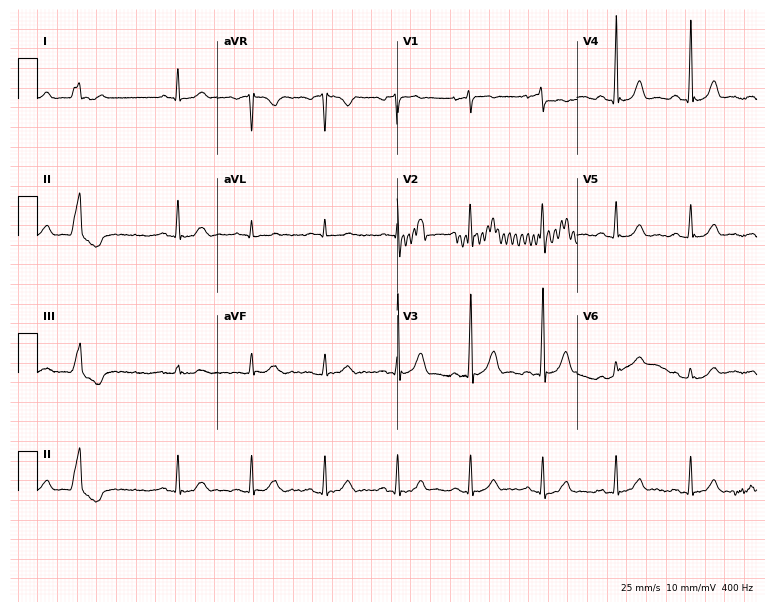
ECG — a female patient, 74 years old. Screened for six findings — first-degree AV block, right bundle branch block (RBBB), left bundle branch block (LBBB), sinus bradycardia, atrial fibrillation (AF), sinus tachycardia — none is recorded. Findings outside these six are not listed.